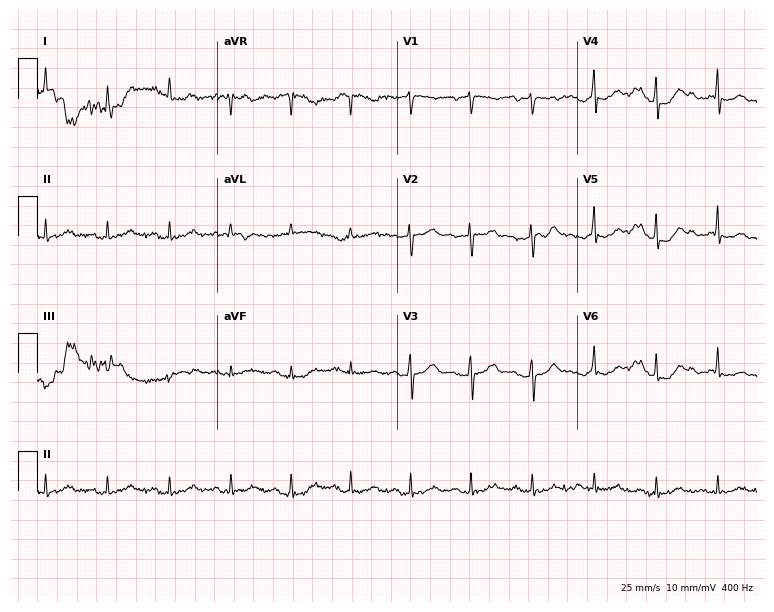
12-lead ECG from a 67-year-old man (7.3-second recording at 400 Hz). No first-degree AV block, right bundle branch block, left bundle branch block, sinus bradycardia, atrial fibrillation or sinus tachycardia recorded for this tracing.